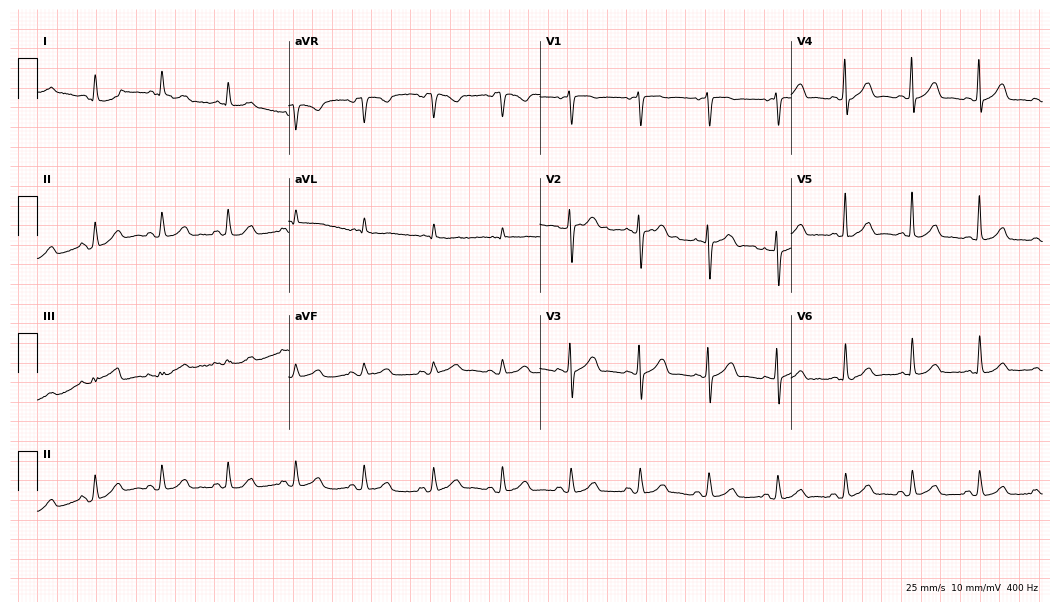
ECG — a female patient, 74 years old. Labelled as a normal ECG.